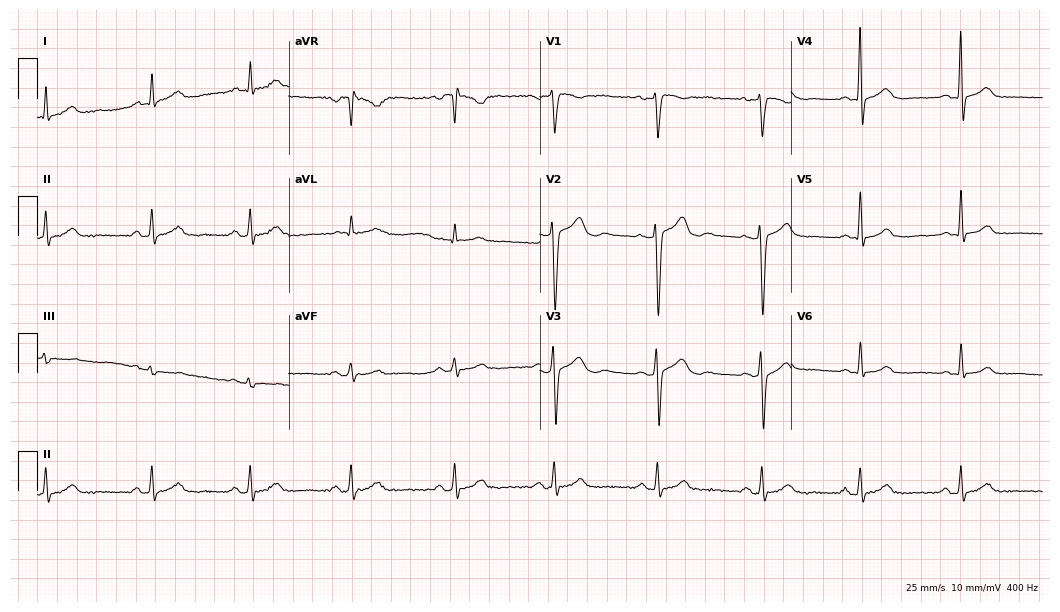
12-lead ECG from a 43-year-old man. Labelled as a normal ECG.